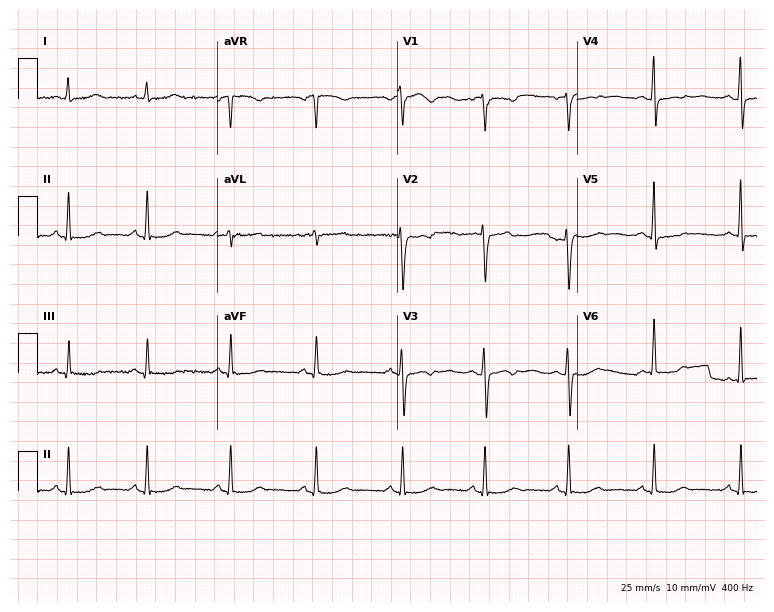
ECG — a 48-year-old woman. Screened for six findings — first-degree AV block, right bundle branch block, left bundle branch block, sinus bradycardia, atrial fibrillation, sinus tachycardia — none is recorded. Findings outside these six are not listed.